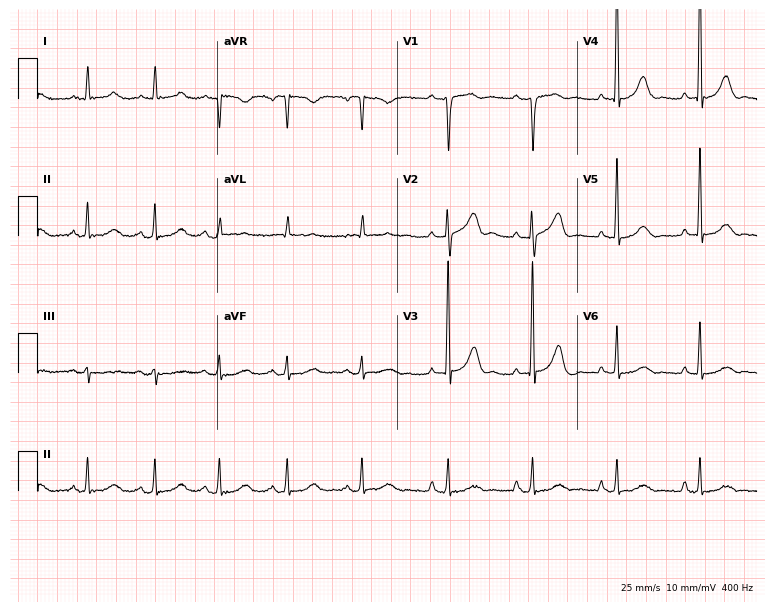
ECG — a female patient, 59 years old. Labelled as a normal ECG.